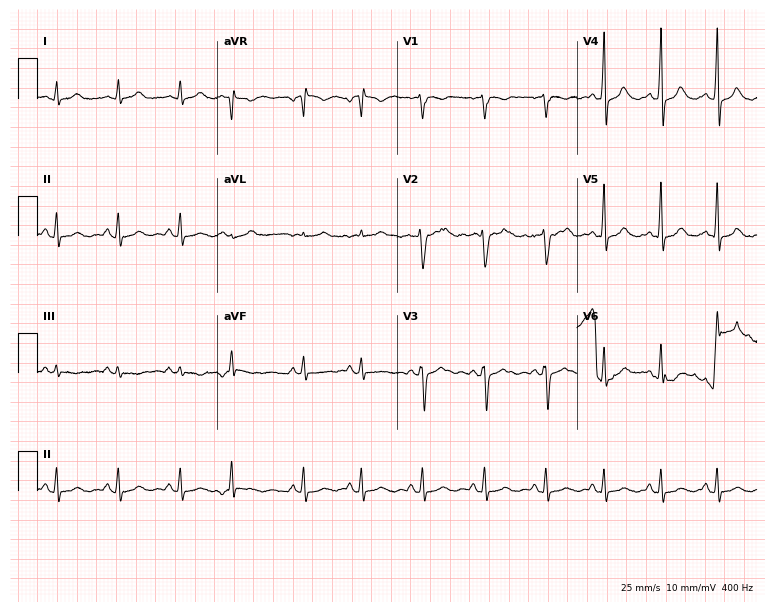
12-lead ECG from a 25-year-old female patient (7.3-second recording at 400 Hz). Recorded interpretation: within normal limits.